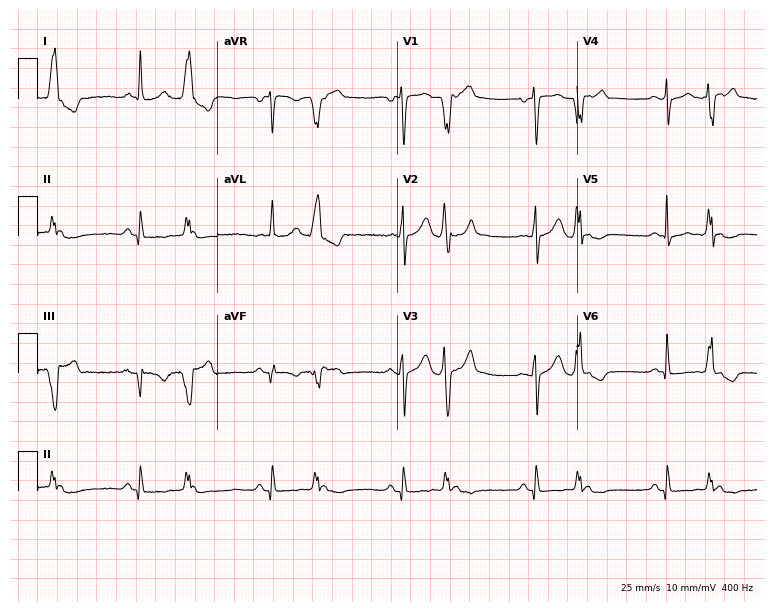
ECG — a female patient, 75 years old. Screened for six findings — first-degree AV block, right bundle branch block (RBBB), left bundle branch block (LBBB), sinus bradycardia, atrial fibrillation (AF), sinus tachycardia — none is recorded. Only these six findings were labelled.